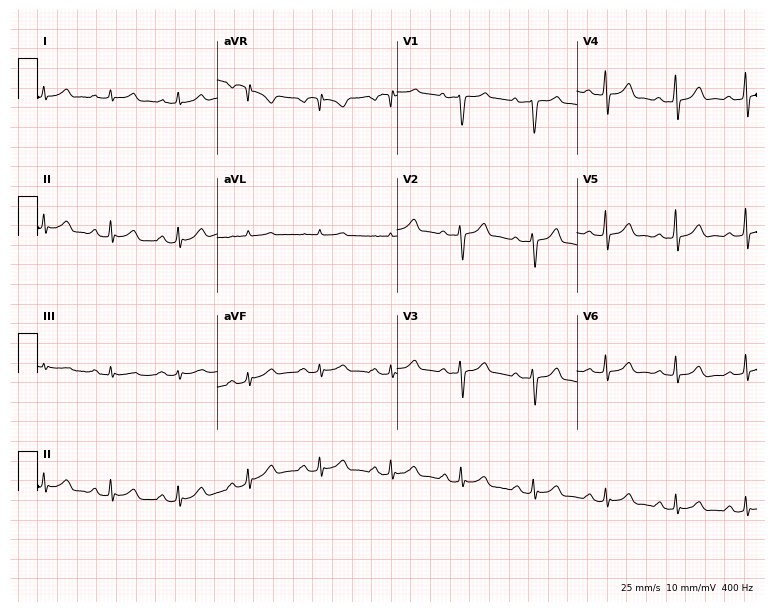
Electrocardiogram, a man, 52 years old. Of the six screened findings (first-degree AV block, right bundle branch block (RBBB), left bundle branch block (LBBB), sinus bradycardia, atrial fibrillation (AF), sinus tachycardia), none is recorded.